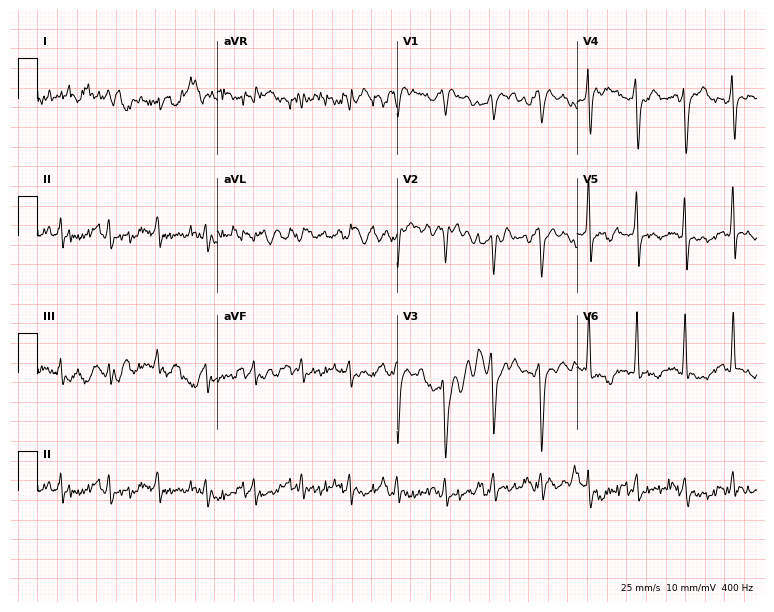
12-lead ECG from a 35-year-old male patient. No first-degree AV block, right bundle branch block, left bundle branch block, sinus bradycardia, atrial fibrillation or sinus tachycardia recorded for this tracing.